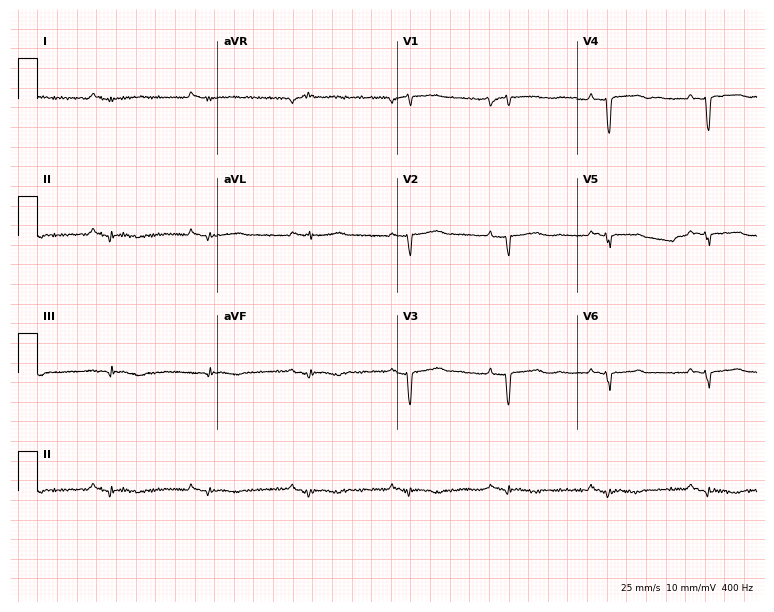
Standard 12-lead ECG recorded from a female, 43 years old (7.3-second recording at 400 Hz). None of these six findings is recorded: first-degree AV block, right bundle branch block (RBBB), left bundle branch block (LBBB), sinus bradycardia, atrial fibrillation (AF), sinus tachycardia.